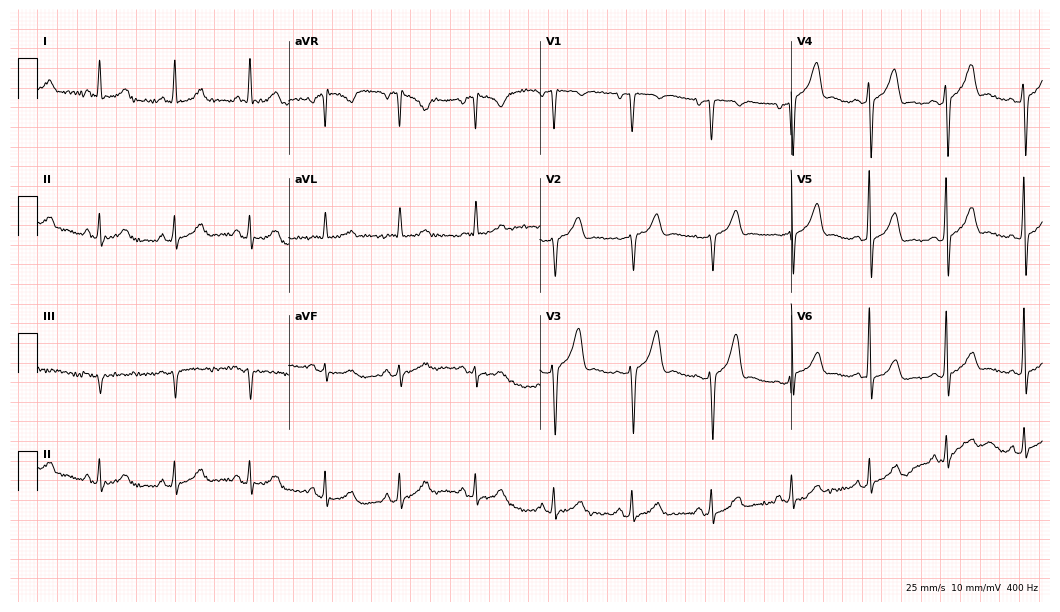
Standard 12-lead ECG recorded from a 58-year-old male. None of these six findings is recorded: first-degree AV block, right bundle branch block (RBBB), left bundle branch block (LBBB), sinus bradycardia, atrial fibrillation (AF), sinus tachycardia.